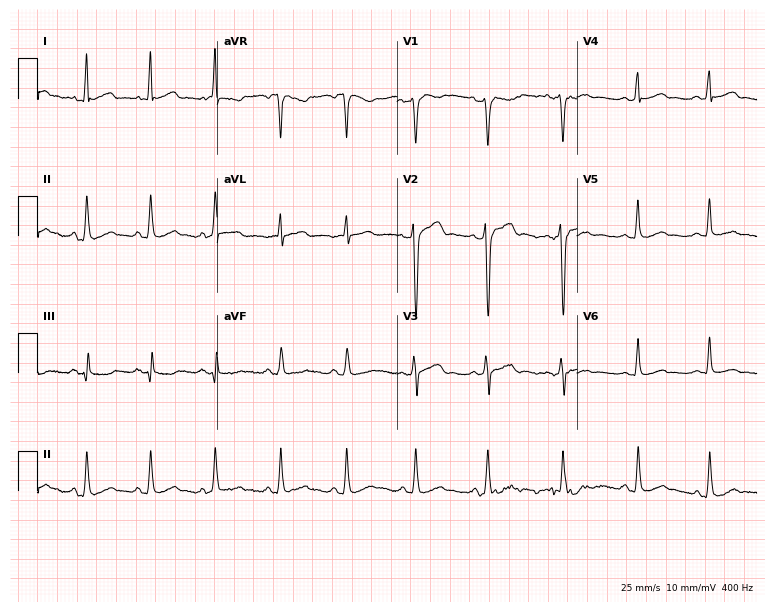
Resting 12-lead electrocardiogram. Patient: a 37-year-old male. Read as a normal ECG.